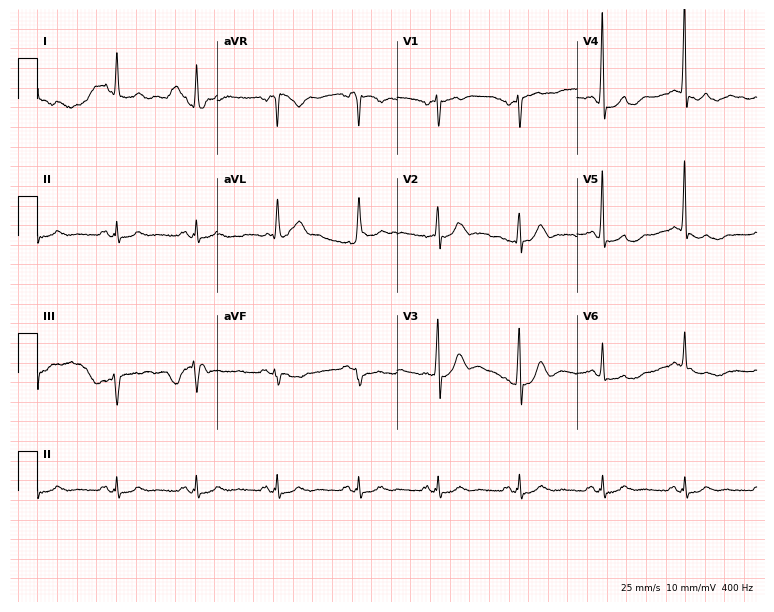
ECG (7.3-second recording at 400 Hz) — a 59-year-old female. Screened for six findings — first-degree AV block, right bundle branch block, left bundle branch block, sinus bradycardia, atrial fibrillation, sinus tachycardia — none is recorded.